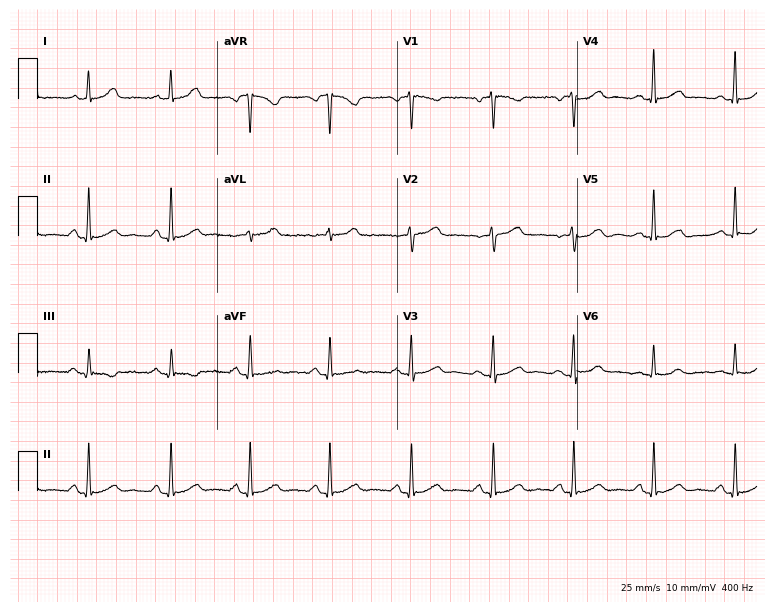
Resting 12-lead electrocardiogram. Patient: a 46-year-old woman. Read as a normal ECG.